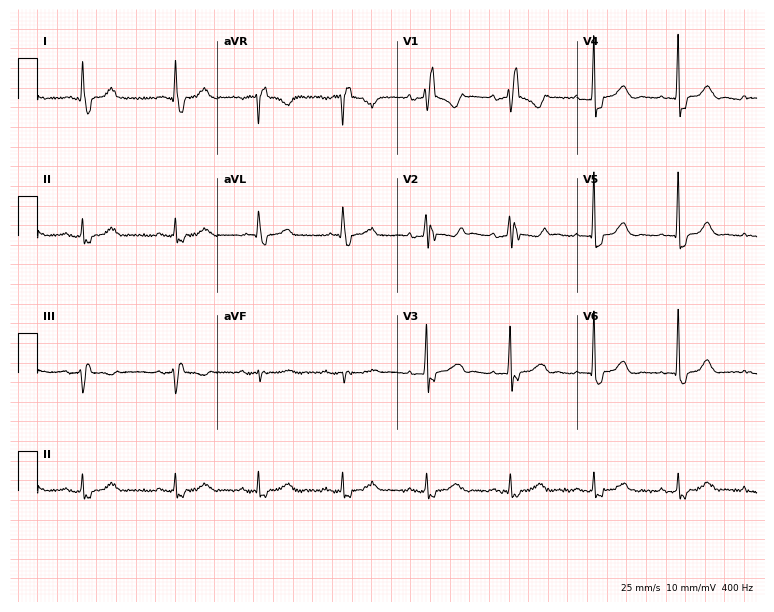
ECG (7.3-second recording at 400 Hz) — a 67-year-old woman. Findings include right bundle branch block (RBBB).